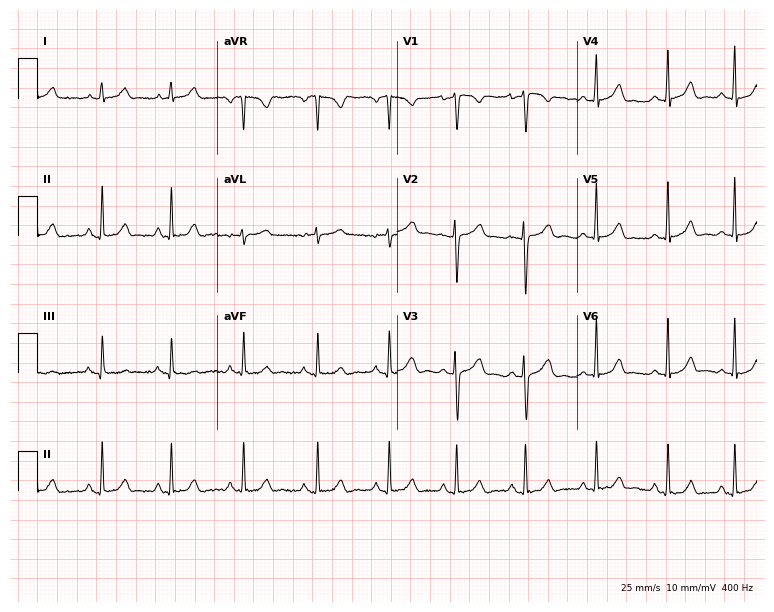
Resting 12-lead electrocardiogram (7.3-second recording at 400 Hz). Patient: a woman, 20 years old. None of these six findings is recorded: first-degree AV block, right bundle branch block (RBBB), left bundle branch block (LBBB), sinus bradycardia, atrial fibrillation (AF), sinus tachycardia. Other findings, if any, are not listed.